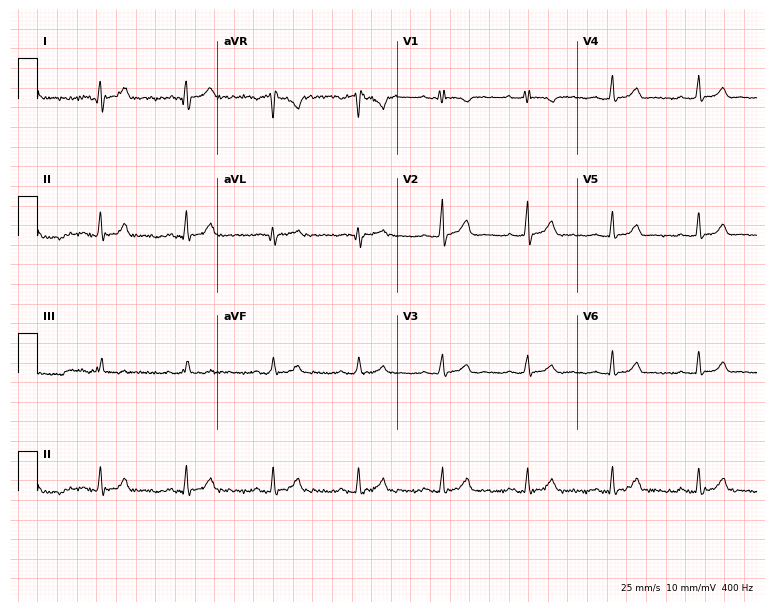
12-lead ECG from a 26-year-old female patient. No first-degree AV block, right bundle branch block, left bundle branch block, sinus bradycardia, atrial fibrillation or sinus tachycardia recorded for this tracing.